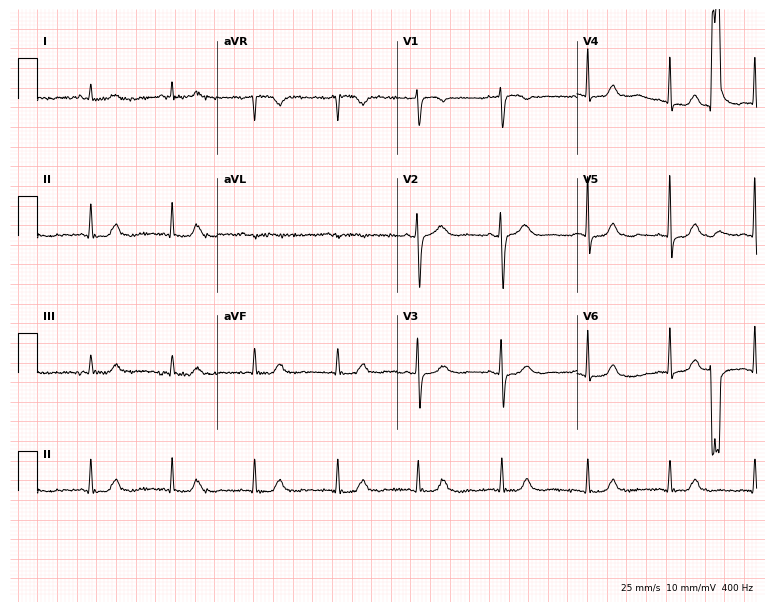
12-lead ECG (7.3-second recording at 400 Hz) from a 67-year-old female patient. Screened for six findings — first-degree AV block, right bundle branch block, left bundle branch block, sinus bradycardia, atrial fibrillation, sinus tachycardia — none is recorded. Only these six findings were labelled.